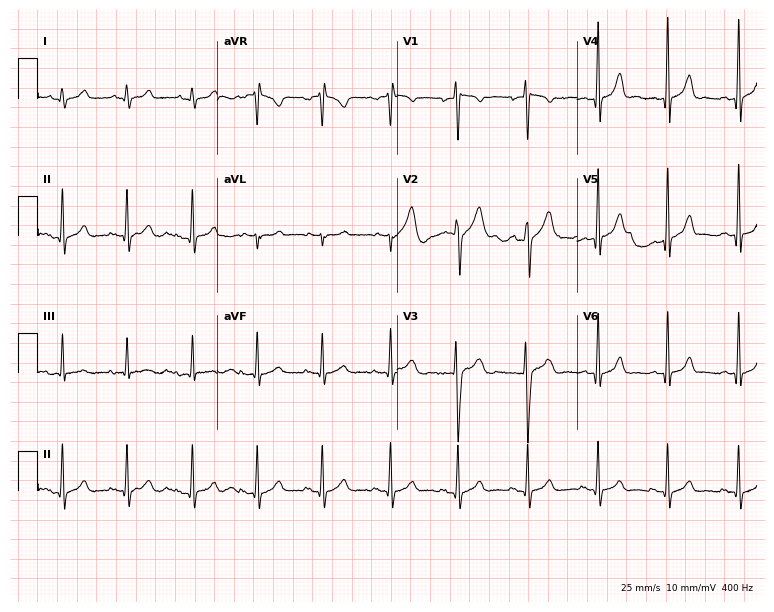
ECG (7.3-second recording at 400 Hz) — a 20-year-old male patient. Labelled as a normal ECG.